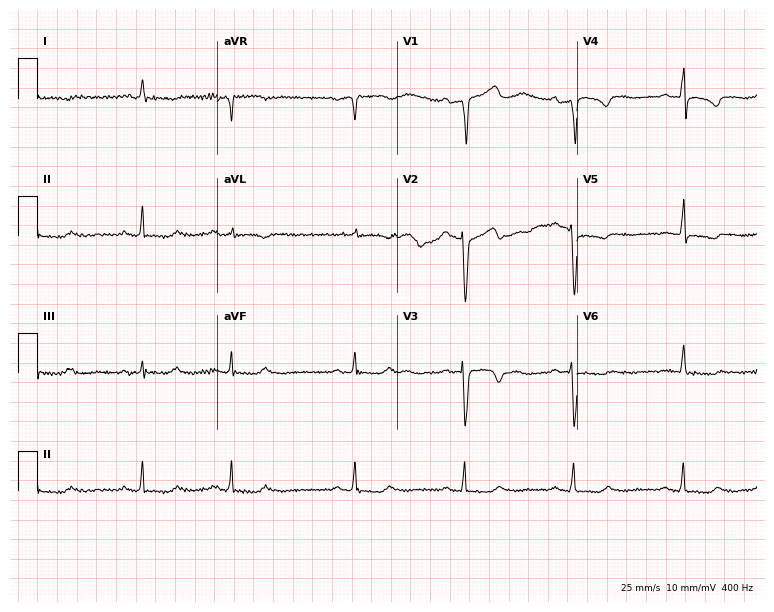
12-lead ECG from a 78-year-old man. No first-degree AV block, right bundle branch block (RBBB), left bundle branch block (LBBB), sinus bradycardia, atrial fibrillation (AF) or sinus tachycardia recorded for this tracing. Findings outside these six are not listed.